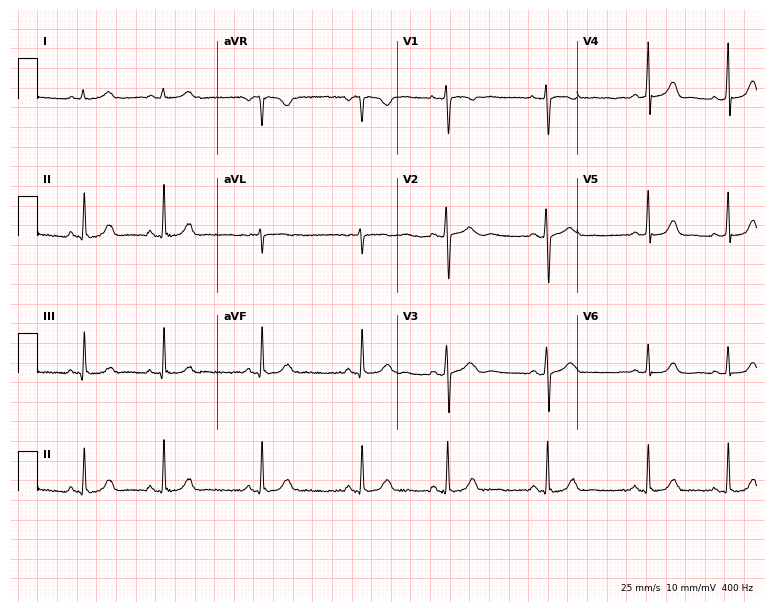
Electrocardiogram, a 29-year-old woman. Of the six screened findings (first-degree AV block, right bundle branch block, left bundle branch block, sinus bradycardia, atrial fibrillation, sinus tachycardia), none is recorded. Other findings, if any, are not listed.